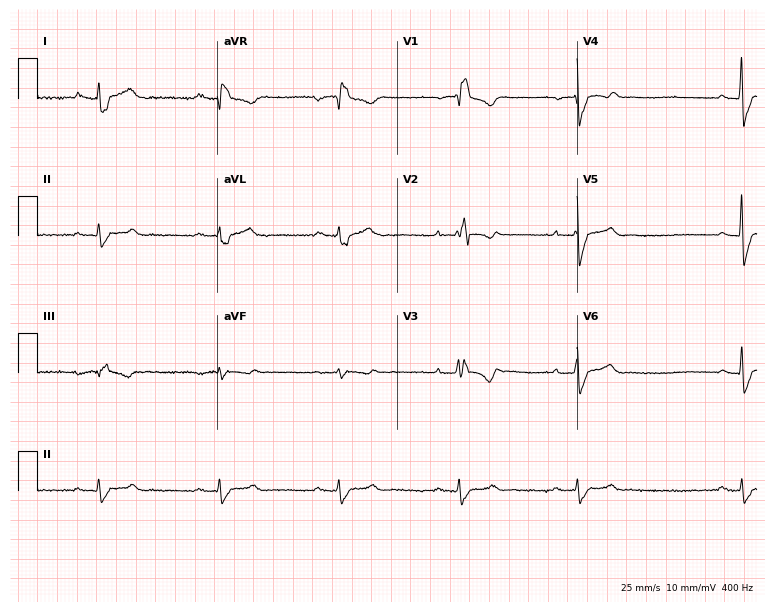
Resting 12-lead electrocardiogram. Patient: a male, 39 years old. The tracing shows first-degree AV block, right bundle branch block.